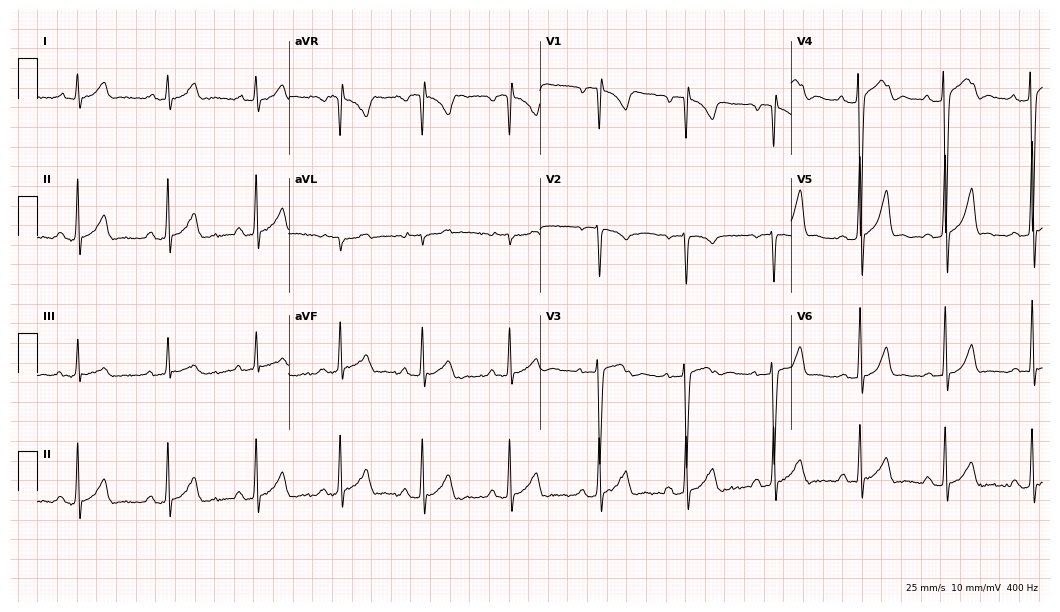
12-lead ECG from a 17-year-old man. No first-degree AV block, right bundle branch block, left bundle branch block, sinus bradycardia, atrial fibrillation or sinus tachycardia recorded for this tracing. Only these six findings were labelled.